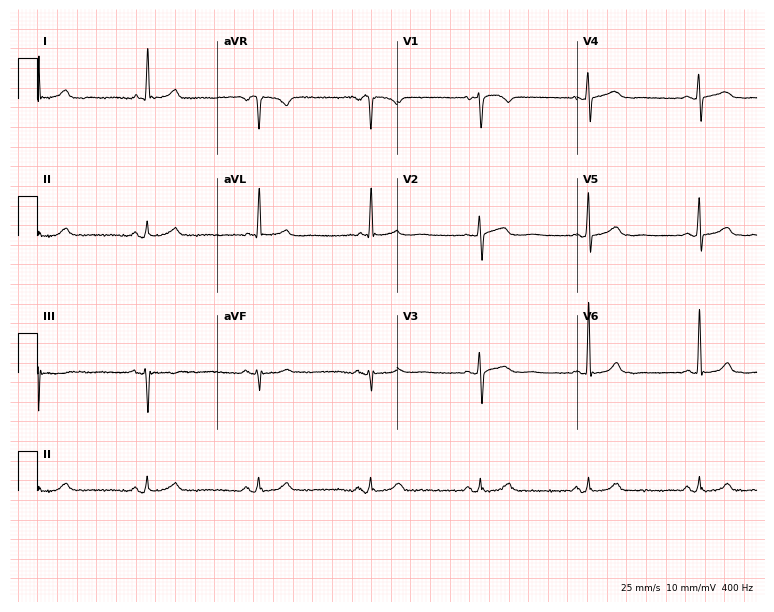
Electrocardiogram (7.3-second recording at 400 Hz), a 77-year-old woman. Of the six screened findings (first-degree AV block, right bundle branch block, left bundle branch block, sinus bradycardia, atrial fibrillation, sinus tachycardia), none is recorded.